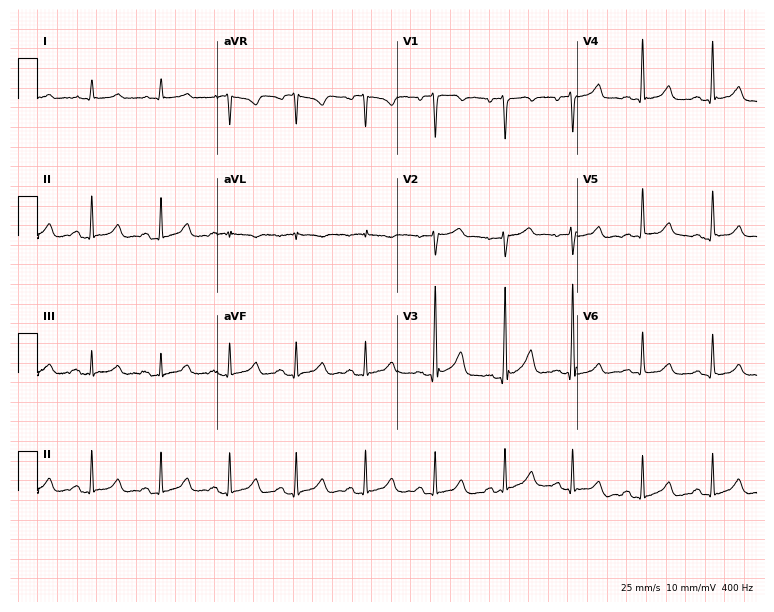
12-lead ECG from a male, 49 years old. Recorded interpretation: within normal limits.